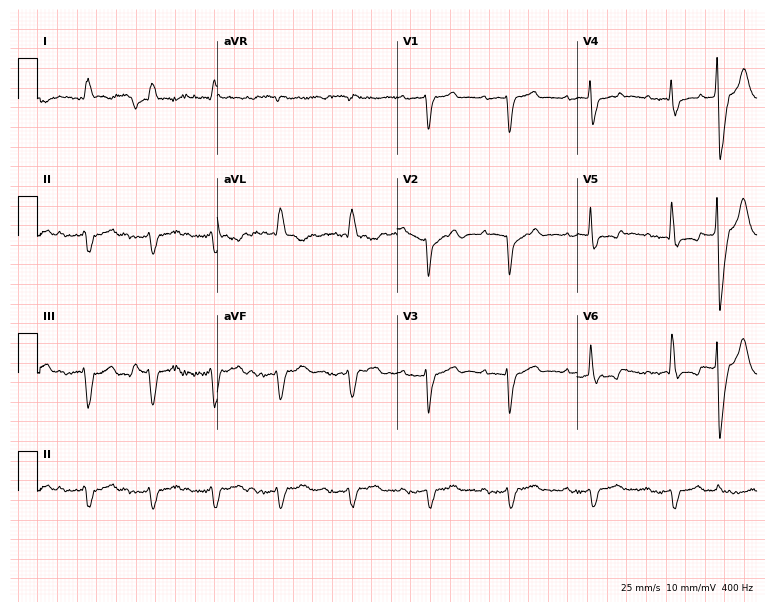
Resting 12-lead electrocardiogram (7.3-second recording at 400 Hz). Patient: a 79-year-old male. The tracing shows first-degree AV block, left bundle branch block, atrial fibrillation.